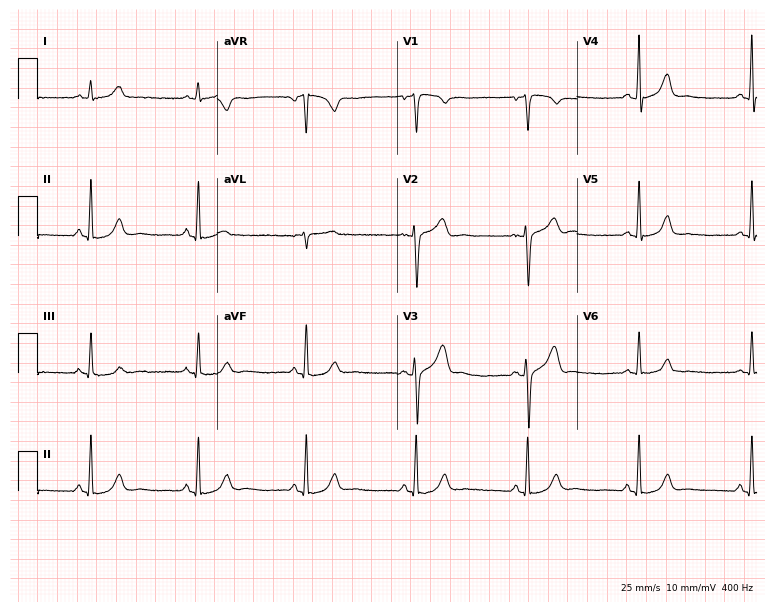
12-lead ECG from a 50-year-old man. No first-degree AV block, right bundle branch block (RBBB), left bundle branch block (LBBB), sinus bradycardia, atrial fibrillation (AF) or sinus tachycardia recorded for this tracing. Other findings, if any, are not listed.